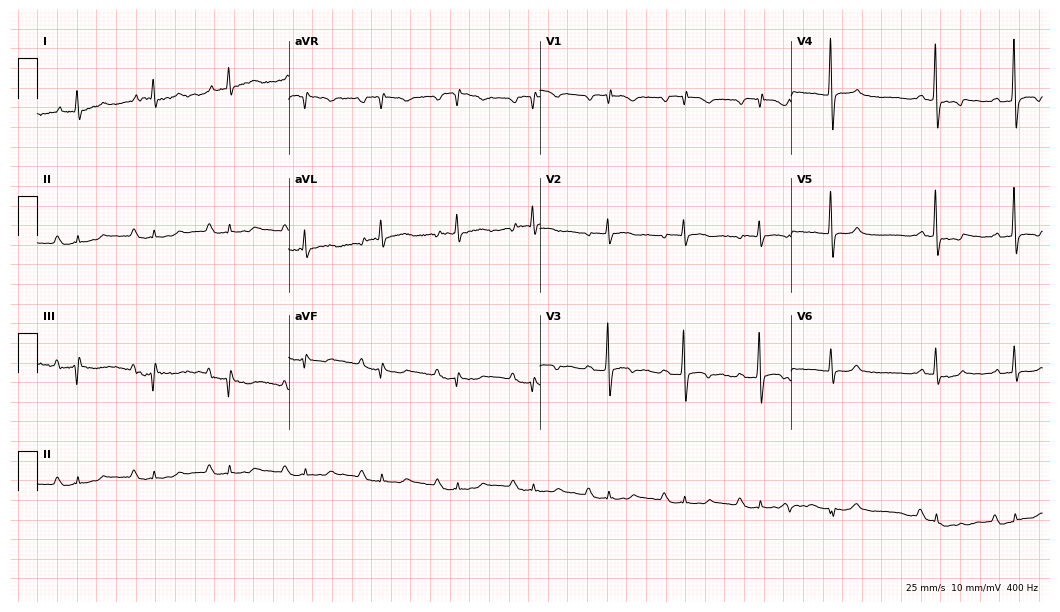
ECG (10.2-second recording at 400 Hz) — a 77-year-old male patient. Findings include first-degree AV block.